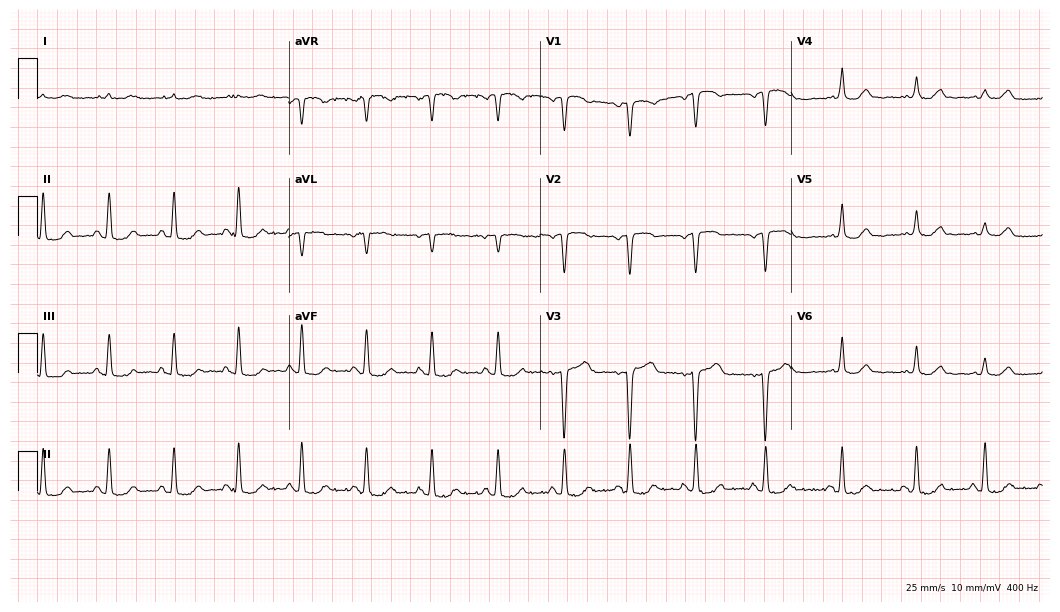
12-lead ECG from a female, 80 years old (10.2-second recording at 400 Hz). No first-degree AV block, right bundle branch block (RBBB), left bundle branch block (LBBB), sinus bradycardia, atrial fibrillation (AF) or sinus tachycardia recorded for this tracing. Findings outside these six are not listed.